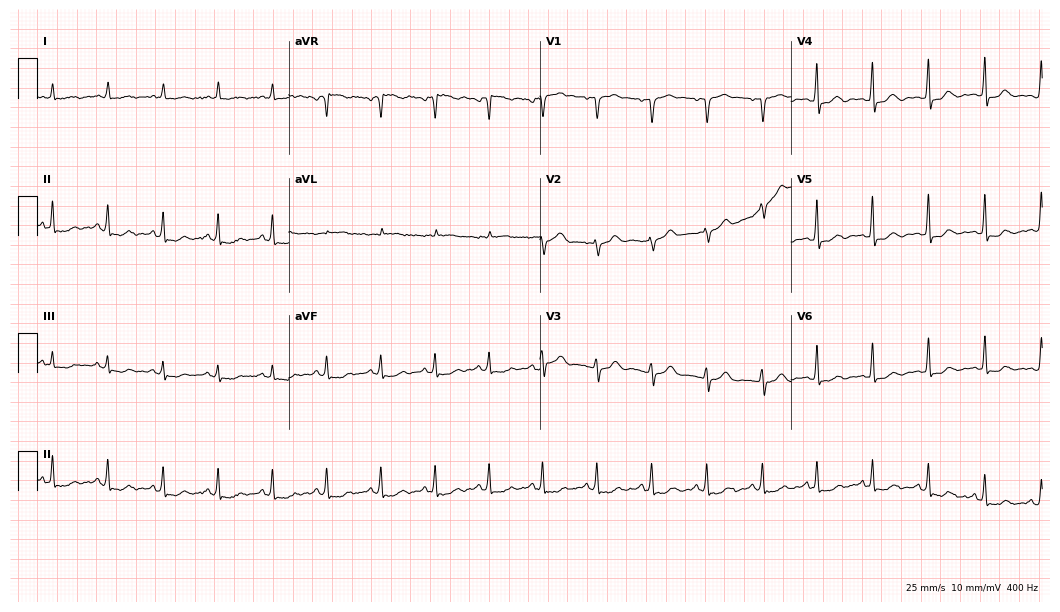
12-lead ECG (10.2-second recording at 400 Hz) from a man, 56 years old. Findings include sinus tachycardia (a sinus rate of 100 beats per minute or more).